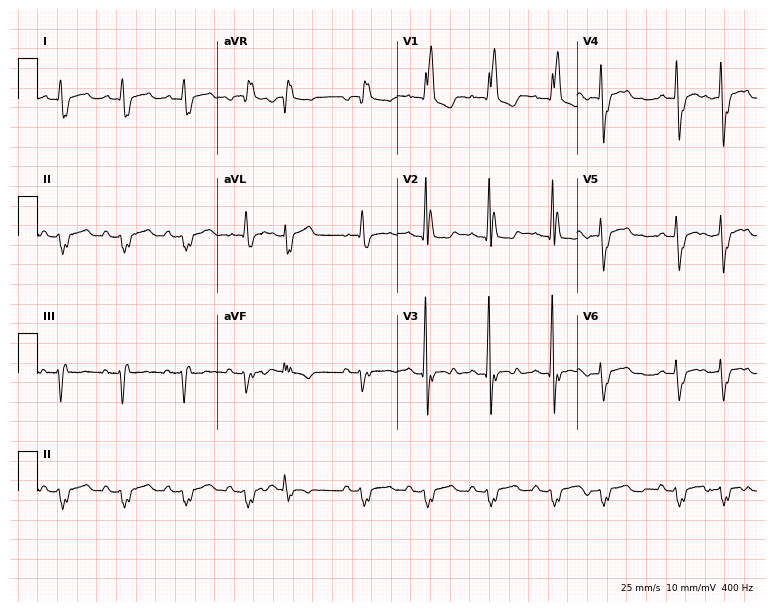
12-lead ECG from a male, 72 years old. Findings include right bundle branch block.